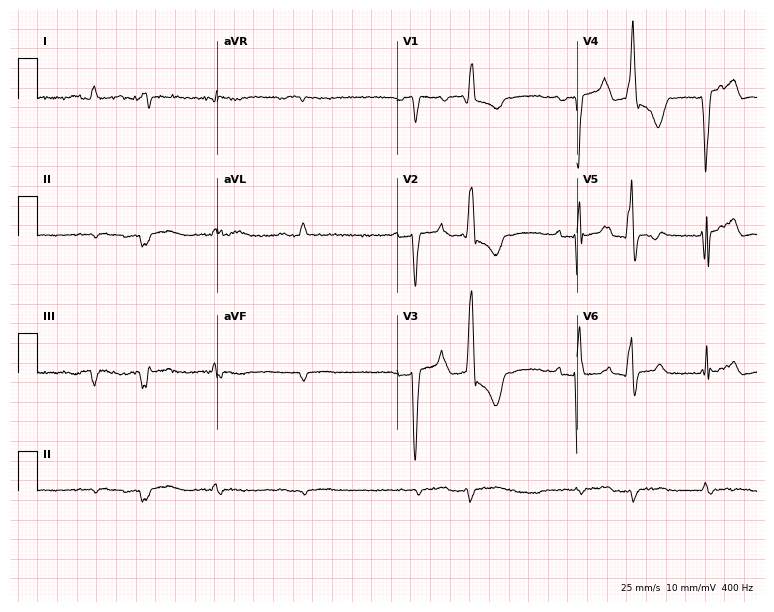
ECG (7.3-second recording at 400 Hz) — a male, 58 years old. Screened for six findings — first-degree AV block, right bundle branch block, left bundle branch block, sinus bradycardia, atrial fibrillation, sinus tachycardia — none is recorded. Findings outside these six are not listed.